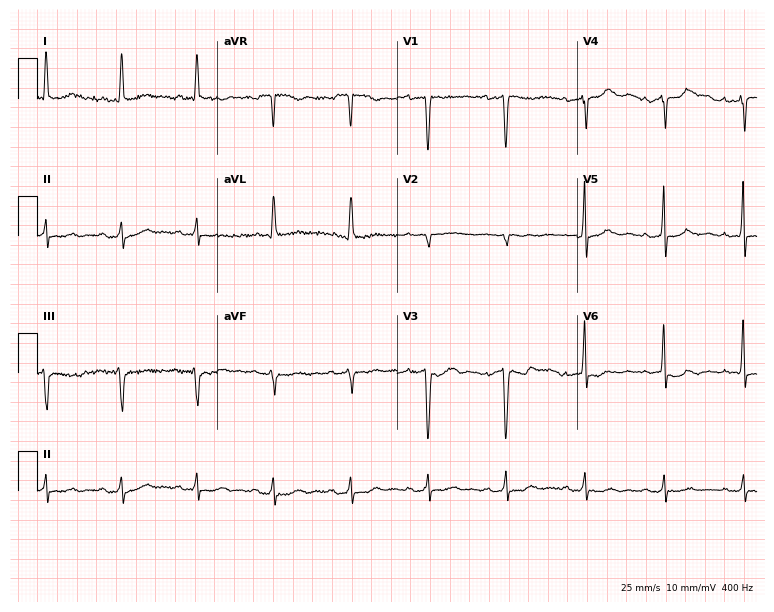
Standard 12-lead ECG recorded from a female patient, 44 years old (7.3-second recording at 400 Hz). Read as a normal ECG.